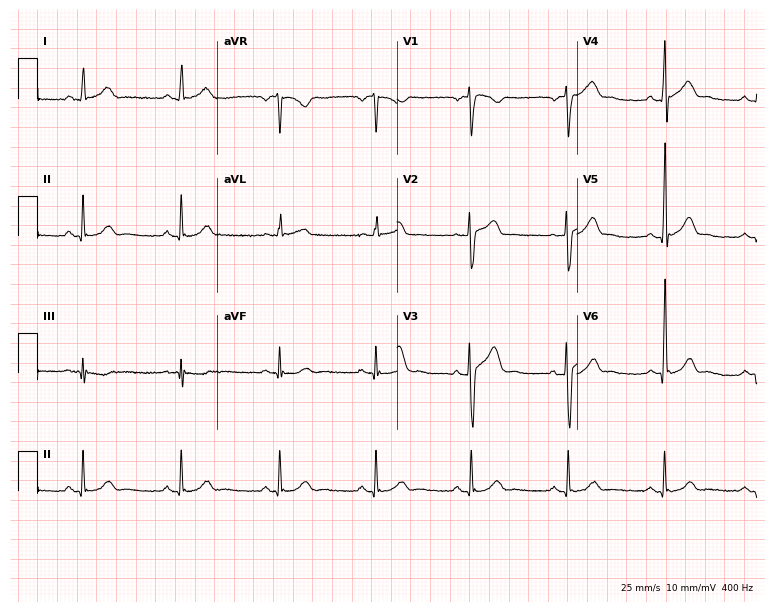
12-lead ECG from a male patient, 39 years old (7.3-second recording at 400 Hz). Recorded interpretation: within normal limits.